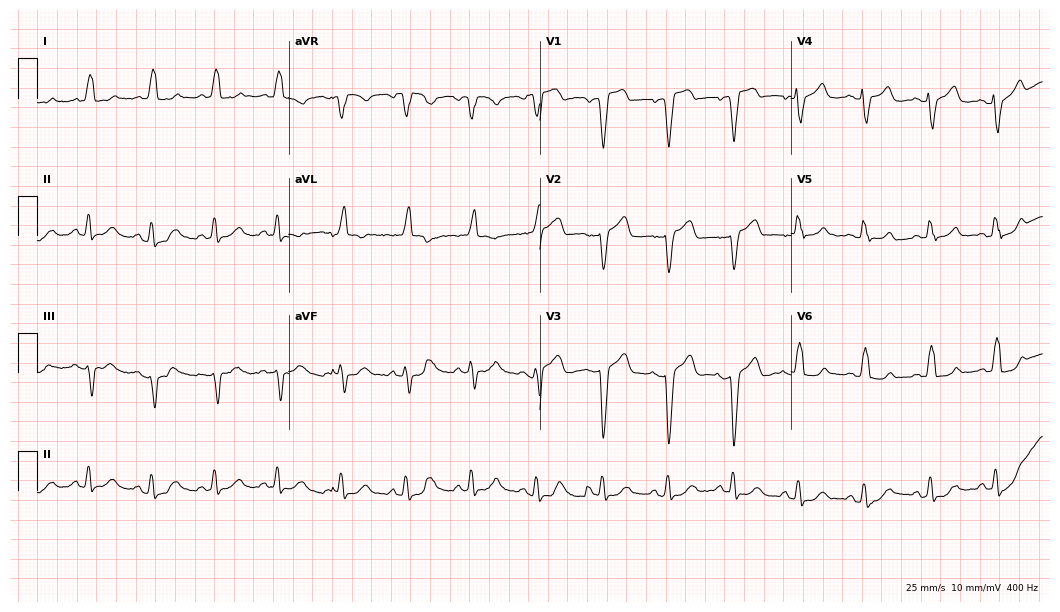
ECG (10.2-second recording at 400 Hz) — a female patient, 62 years old. Findings include left bundle branch block (LBBB).